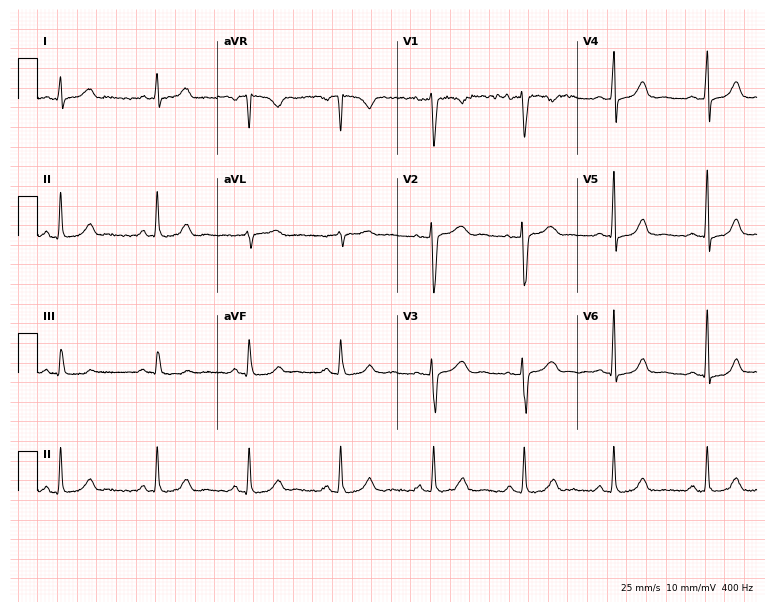
12-lead ECG from a woman, 40 years old. Recorded interpretation: within normal limits.